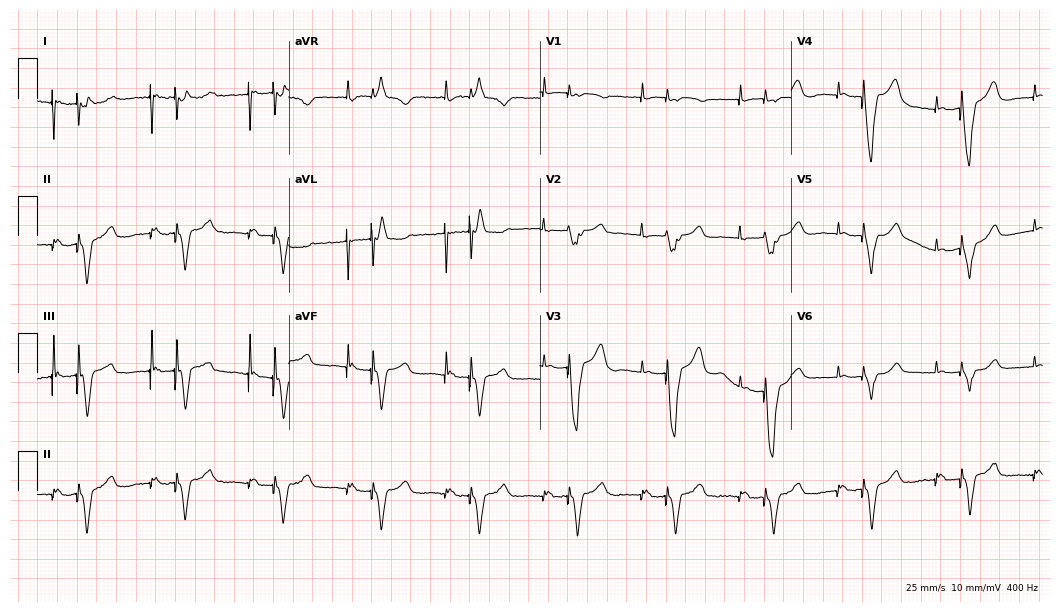
ECG — a 72-year-old woman. Screened for six findings — first-degree AV block, right bundle branch block, left bundle branch block, sinus bradycardia, atrial fibrillation, sinus tachycardia — none is recorded. Other findings, if any, are not listed.